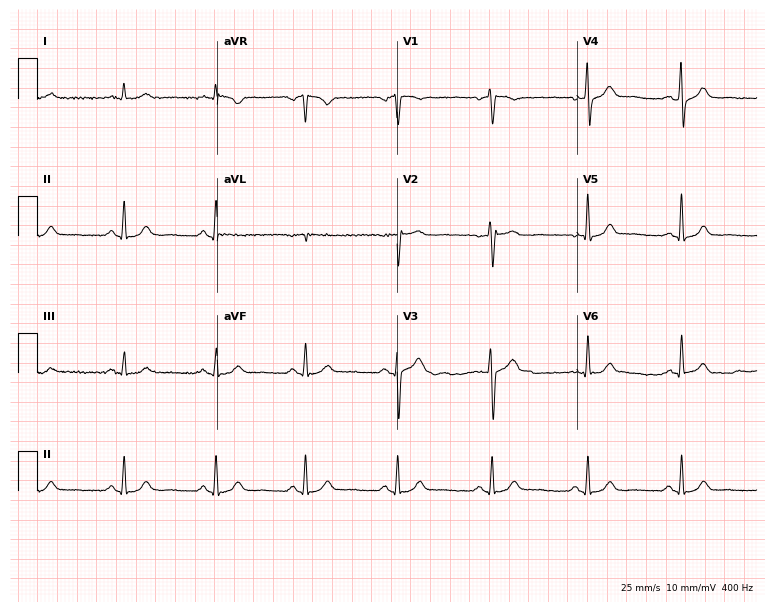
12-lead ECG from a 53-year-old female patient. Recorded interpretation: within normal limits.